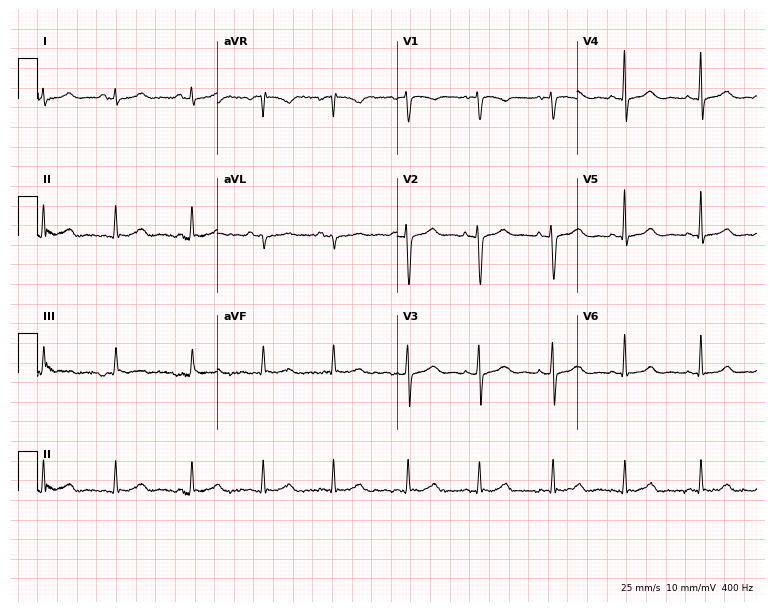
ECG — a female, 35 years old. Screened for six findings — first-degree AV block, right bundle branch block, left bundle branch block, sinus bradycardia, atrial fibrillation, sinus tachycardia — none is recorded. Findings outside these six are not listed.